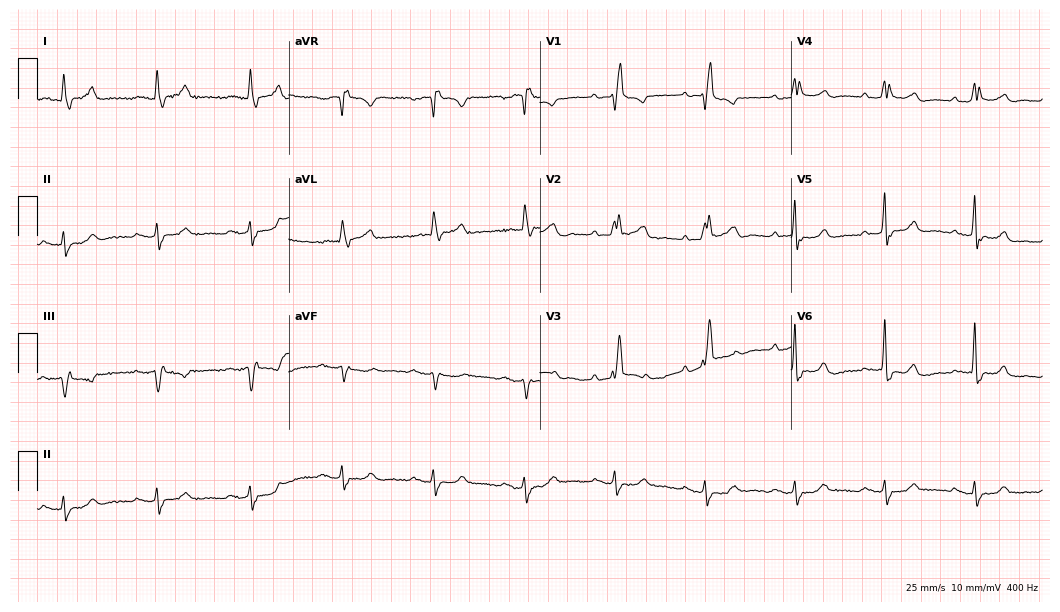
Electrocardiogram (10.2-second recording at 400 Hz), a 74-year-old male. Interpretation includes right bundle branch block.